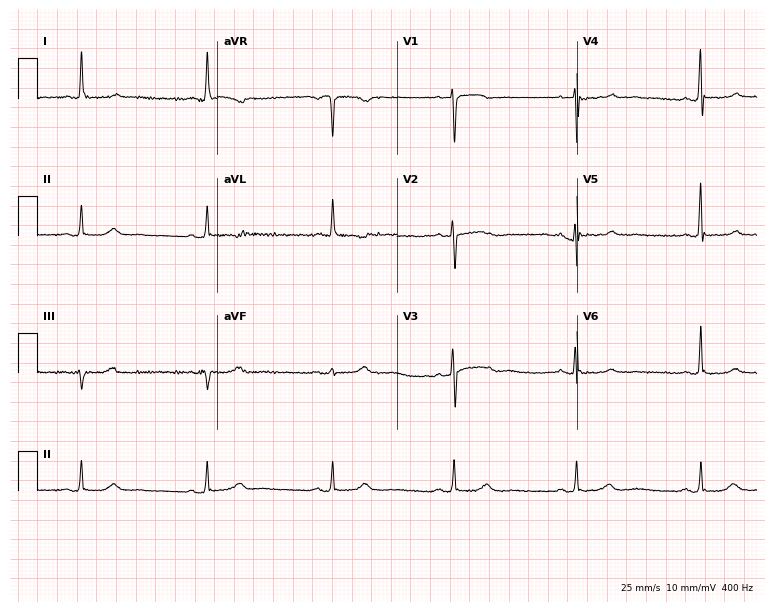
ECG (7.3-second recording at 400 Hz) — a female patient, 62 years old. Findings include sinus bradycardia (a sinus rate of 50 beats per minute or less).